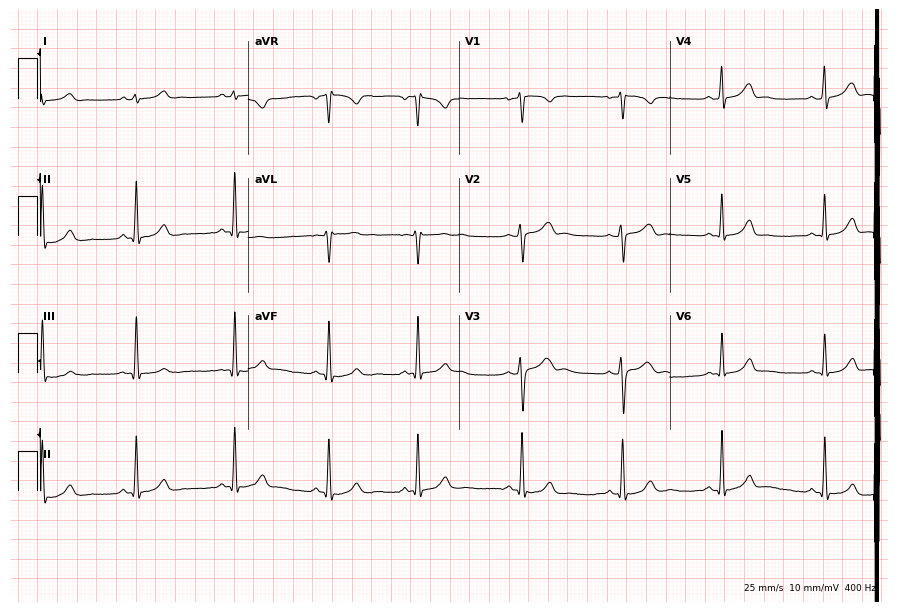
Resting 12-lead electrocardiogram (8.6-second recording at 400 Hz). Patient: a 20-year-old woman. None of these six findings is recorded: first-degree AV block, right bundle branch block, left bundle branch block, sinus bradycardia, atrial fibrillation, sinus tachycardia. Findings outside these six are not listed.